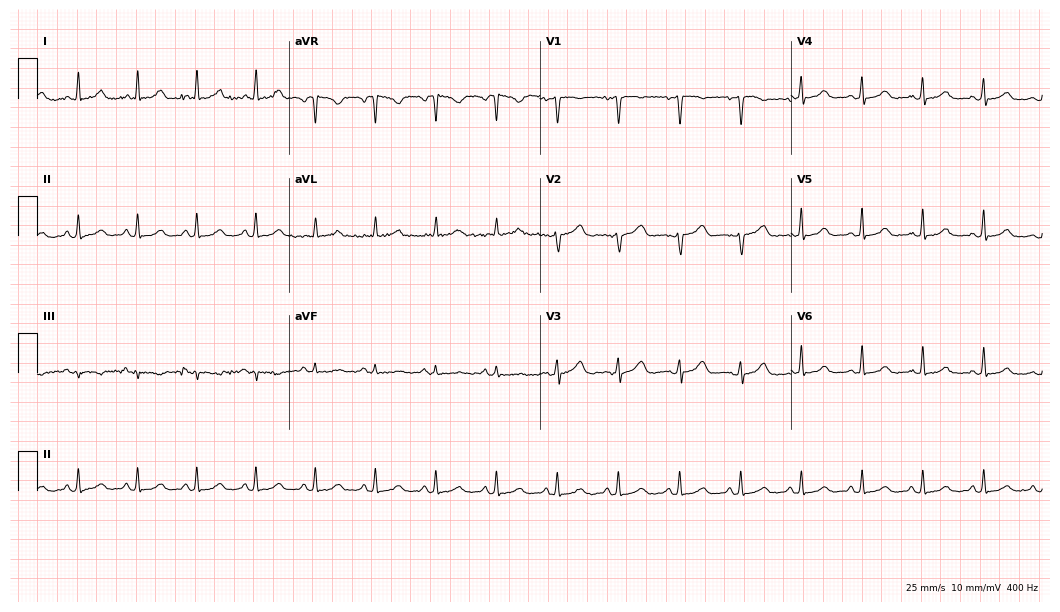
12-lead ECG from a 56-year-old female patient (10.2-second recording at 400 Hz). Recorded interpretation: within normal limits.